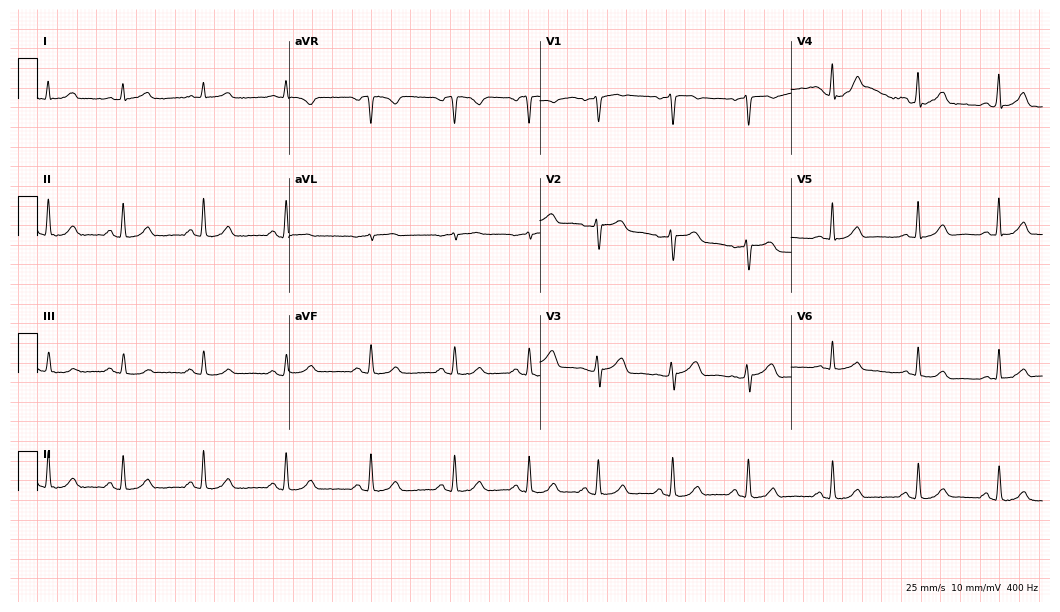
Electrocardiogram (10.2-second recording at 400 Hz), a female patient, 57 years old. Overall reading on record: normal ECG.